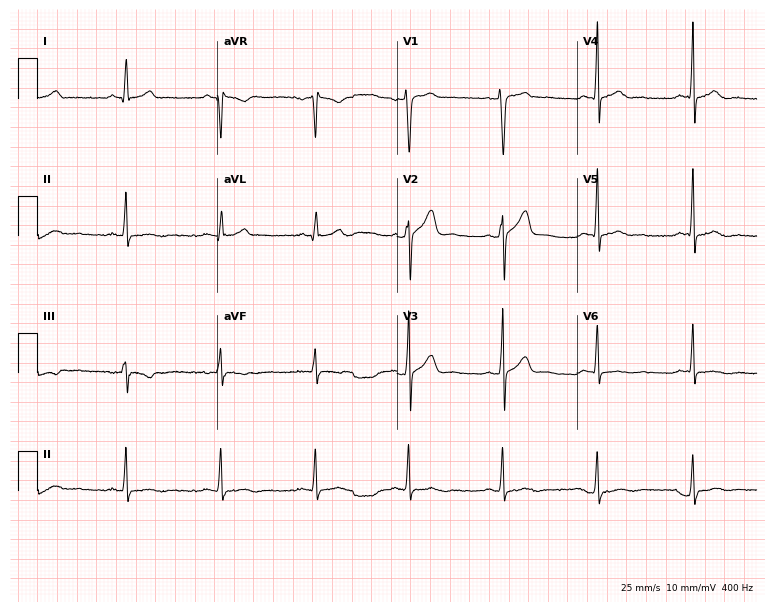
12-lead ECG from a 33-year-old male patient. No first-degree AV block, right bundle branch block, left bundle branch block, sinus bradycardia, atrial fibrillation or sinus tachycardia recorded for this tracing. Findings outside these six are not listed.